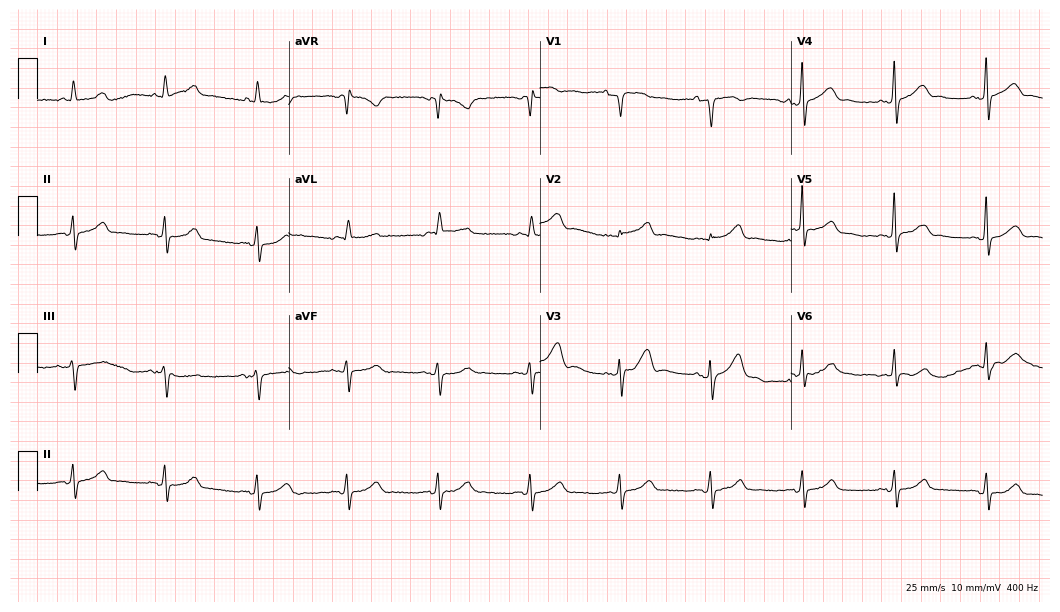
12-lead ECG (10.2-second recording at 400 Hz) from a 74-year-old female patient. Screened for six findings — first-degree AV block, right bundle branch block (RBBB), left bundle branch block (LBBB), sinus bradycardia, atrial fibrillation (AF), sinus tachycardia — none is recorded.